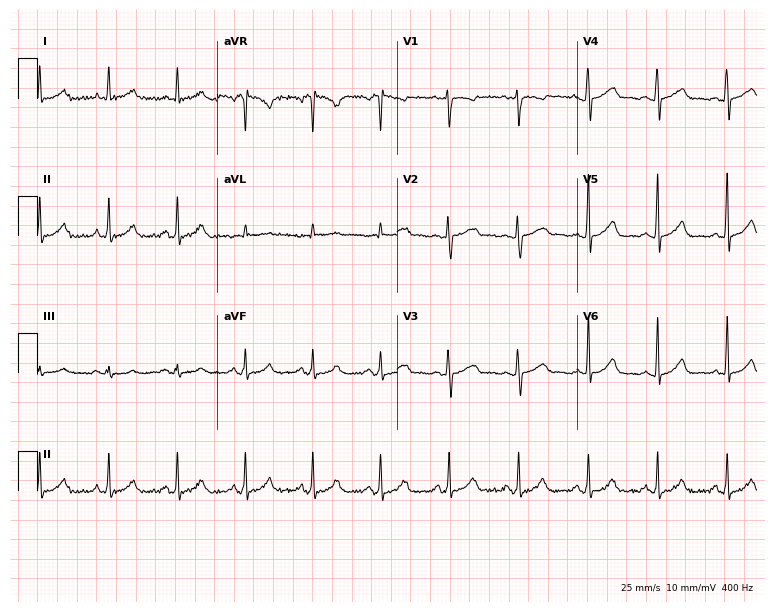
Resting 12-lead electrocardiogram (7.3-second recording at 400 Hz). Patient: a woman, 46 years old. None of these six findings is recorded: first-degree AV block, right bundle branch block, left bundle branch block, sinus bradycardia, atrial fibrillation, sinus tachycardia. Only these six findings were labelled.